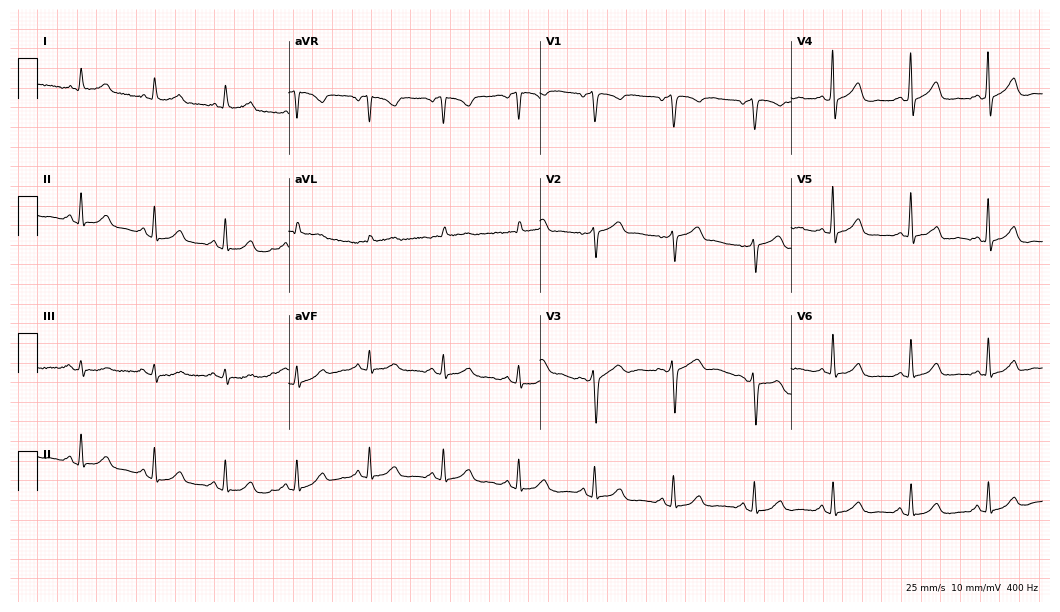
ECG (10.2-second recording at 400 Hz) — a male, 67 years old. Labelled as a normal ECG.